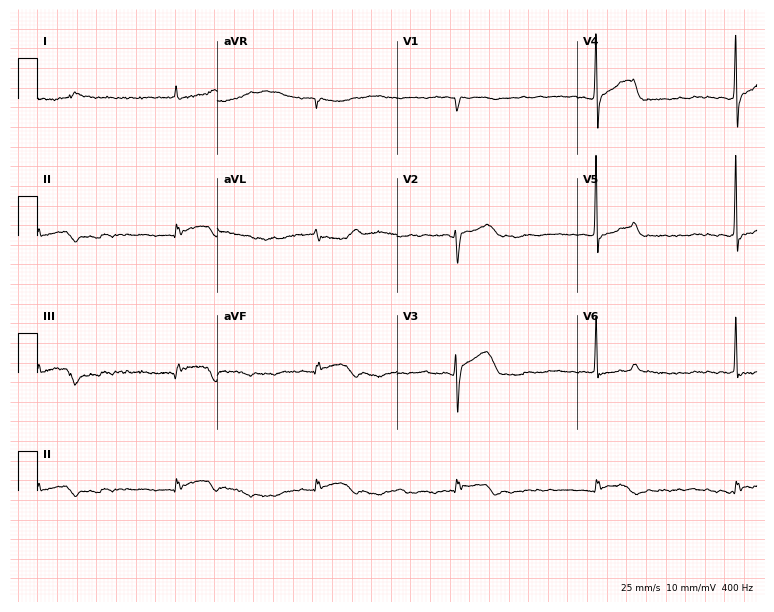
12-lead ECG (7.3-second recording at 400 Hz) from an 81-year-old male. Screened for six findings — first-degree AV block, right bundle branch block, left bundle branch block, sinus bradycardia, atrial fibrillation, sinus tachycardia — none is recorded. Other findings, if any, are not listed.